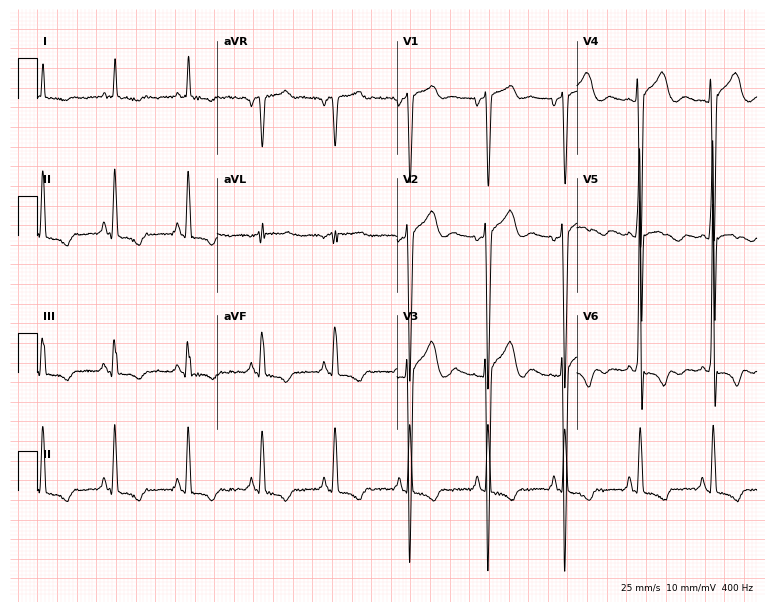
Resting 12-lead electrocardiogram. Patient: a man, 85 years old. None of these six findings is recorded: first-degree AV block, right bundle branch block, left bundle branch block, sinus bradycardia, atrial fibrillation, sinus tachycardia. Findings outside these six are not listed.